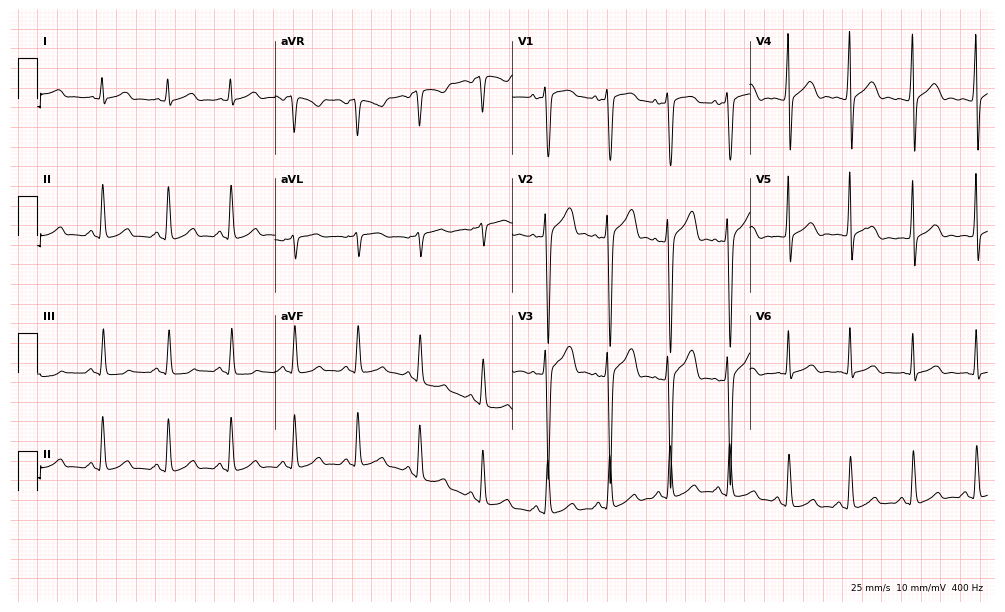
Electrocardiogram, a 21-year-old male patient. Overall reading on record: normal ECG.